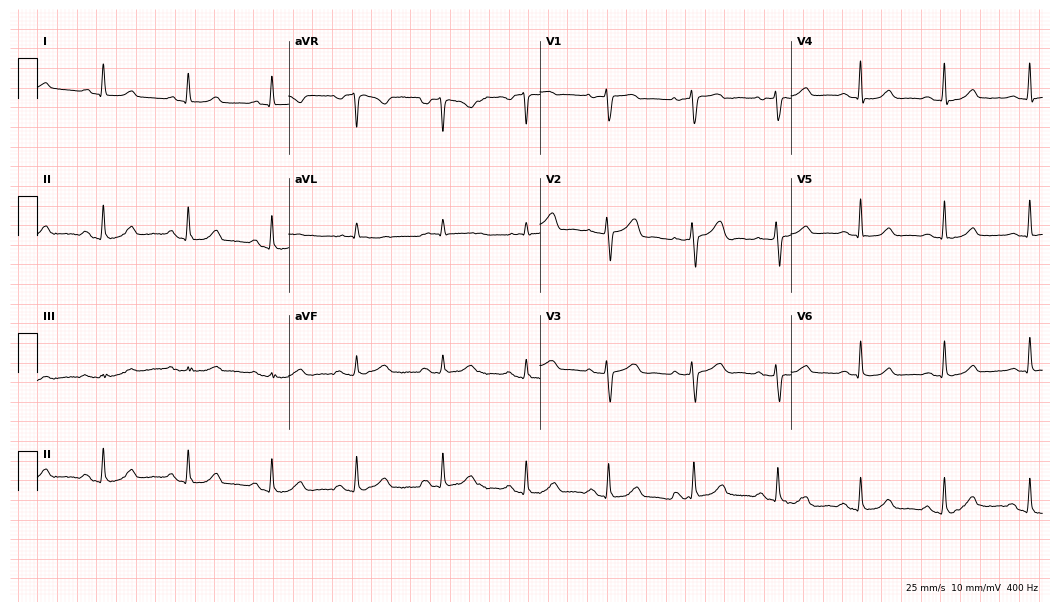
12-lead ECG from a female, 44 years old. Recorded interpretation: within normal limits.